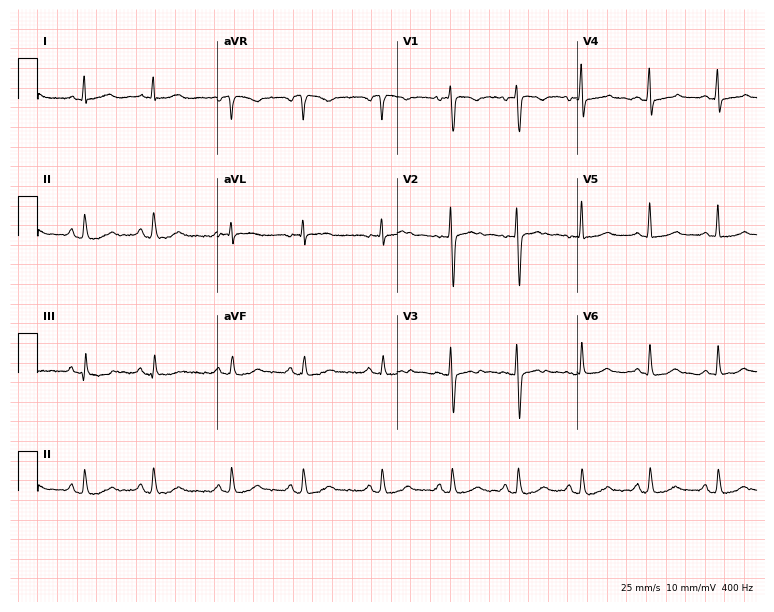
ECG (7.3-second recording at 400 Hz) — a 42-year-old female patient. Screened for six findings — first-degree AV block, right bundle branch block, left bundle branch block, sinus bradycardia, atrial fibrillation, sinus tachycardia — none is recorded. Only these six findings were labelled.